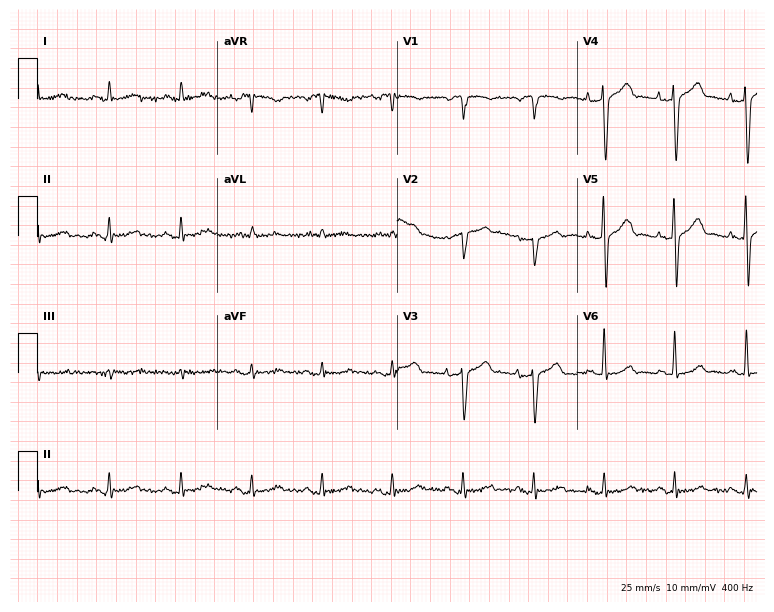
12-lead ECG from a man, 83 years old. Screened for six findings — first-degree AV block, right bundle branch block, left bundle branch block, sinus bradycardia, atrial fibrillation, sinus tachycardia — none is recorded.